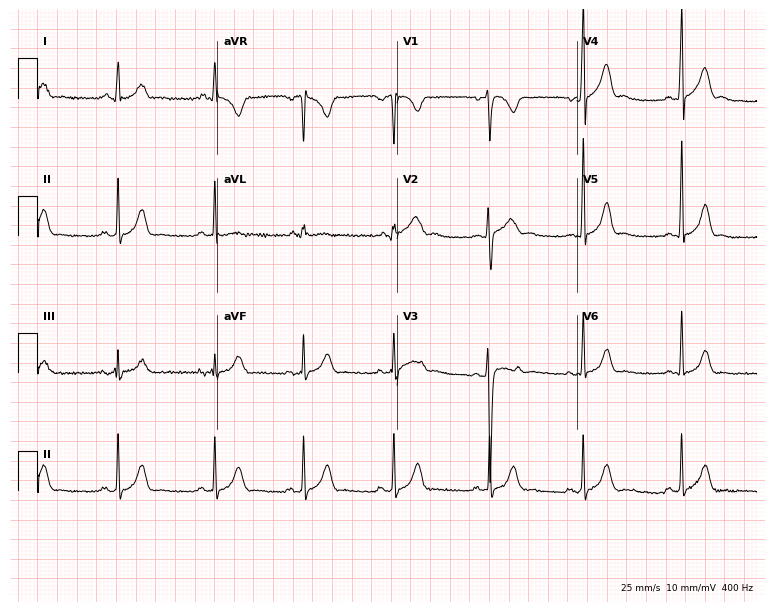
12-lead ECG from a man, 17 years old. Recorded interpretation: within normal limits.